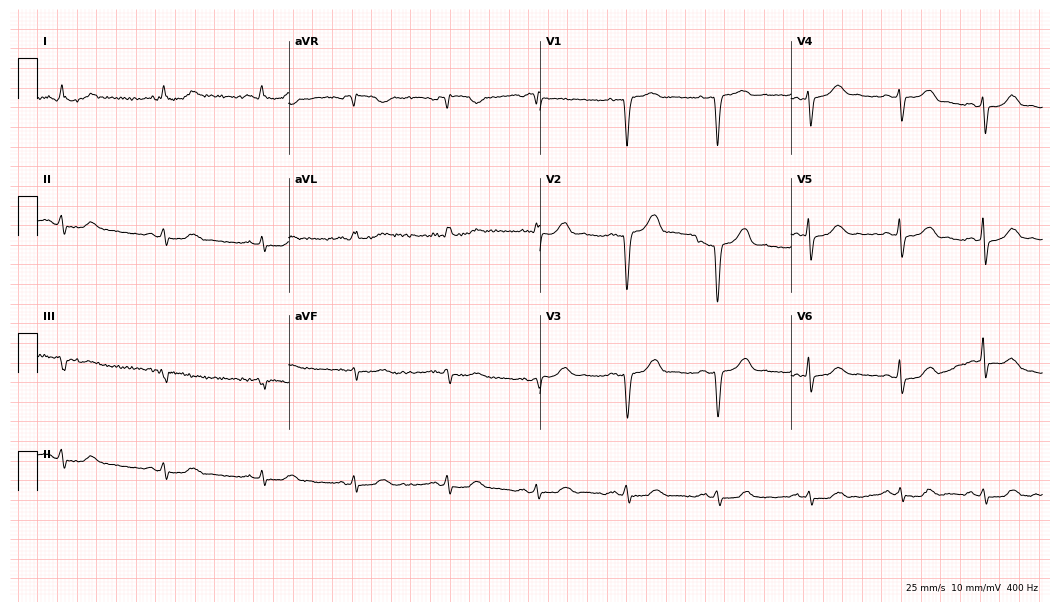
12-lead ECG from a woman, 44 years old. Screened for six findings — first-degree AV block, right bundle branch block (RBBB), left bundle branch block (LBBB), sinus bradycardia, atrial fibrillation (AF), sinus tachycardia — none is recorded. Only these six findings were labelled.